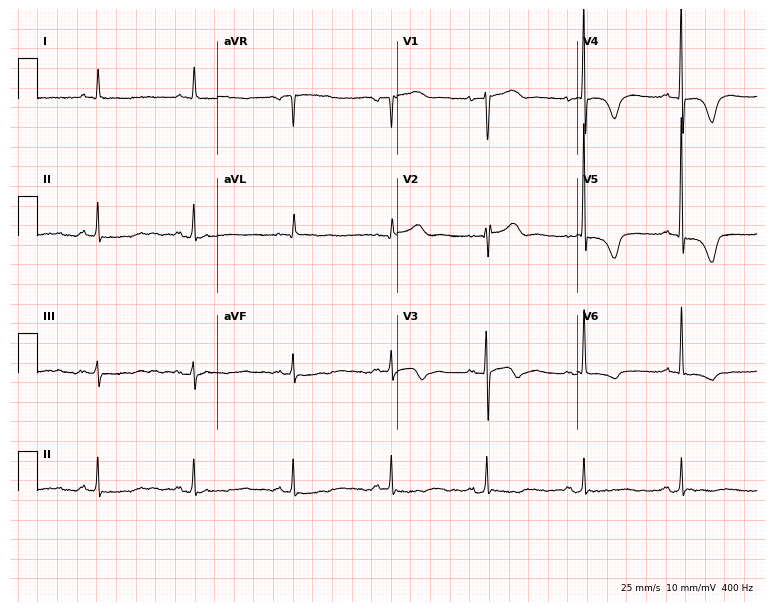
12-lead ECG from a female patient, 80 years old (7.3-second recording at 400 Hz). No first-degree AV block, right bundle branch block, left bundle branch block, sinus bradycardia, atrial fibrillation or sinus tachycardia recorded for this tracing. Other findings, if any, are not listed.